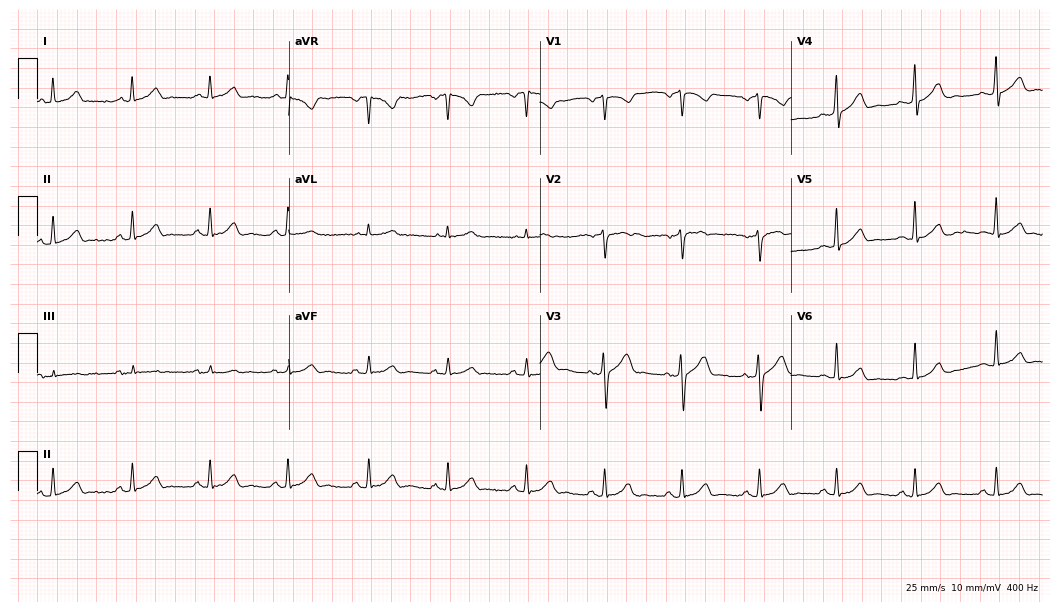
12-lead ECG from a 40-year-old male. Recorded interpretation: within normal limits.